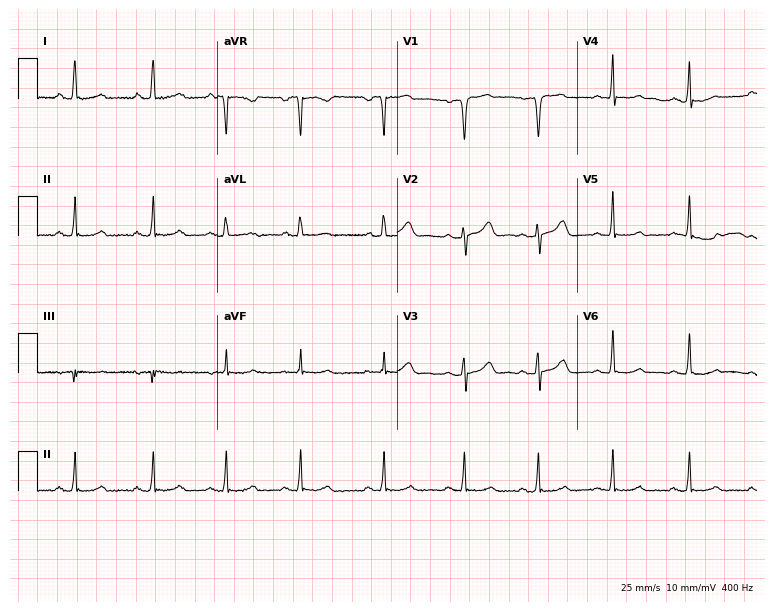
ECG (7.3-second recording at 400 Hz) — a female, 51 years old. Labelled as a normal ECG.